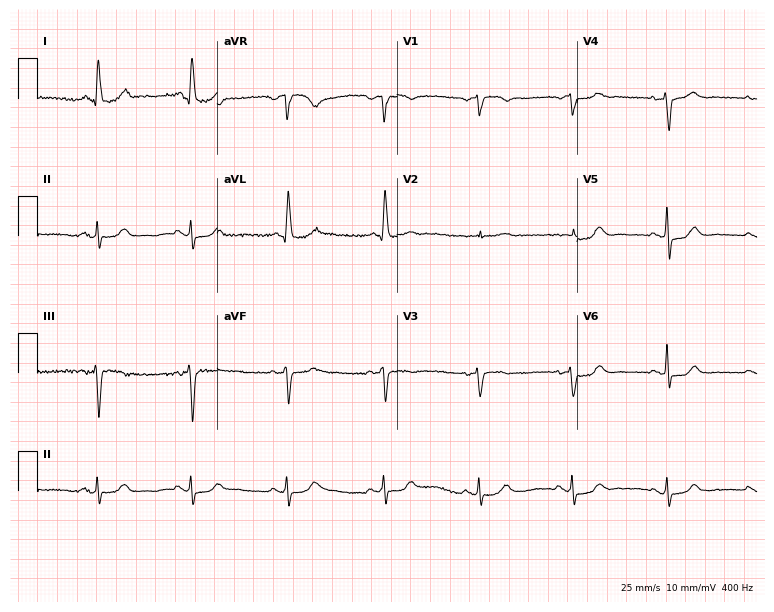
Standard 12-lead ECG recorded from a 78-year-old female. Read as a normal ECG.